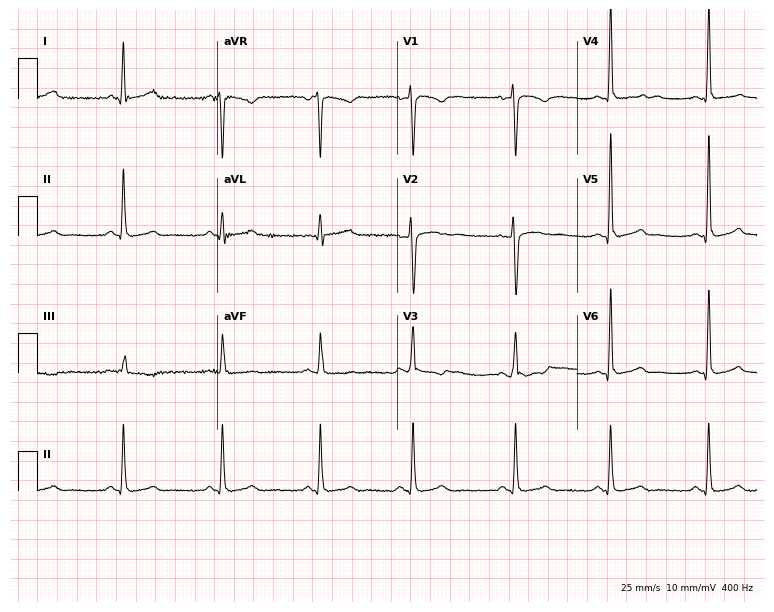
12-lead ECG (7.3-second recording at 400 Hz) from a 33-year-old female. Labelled as a normal ECG.